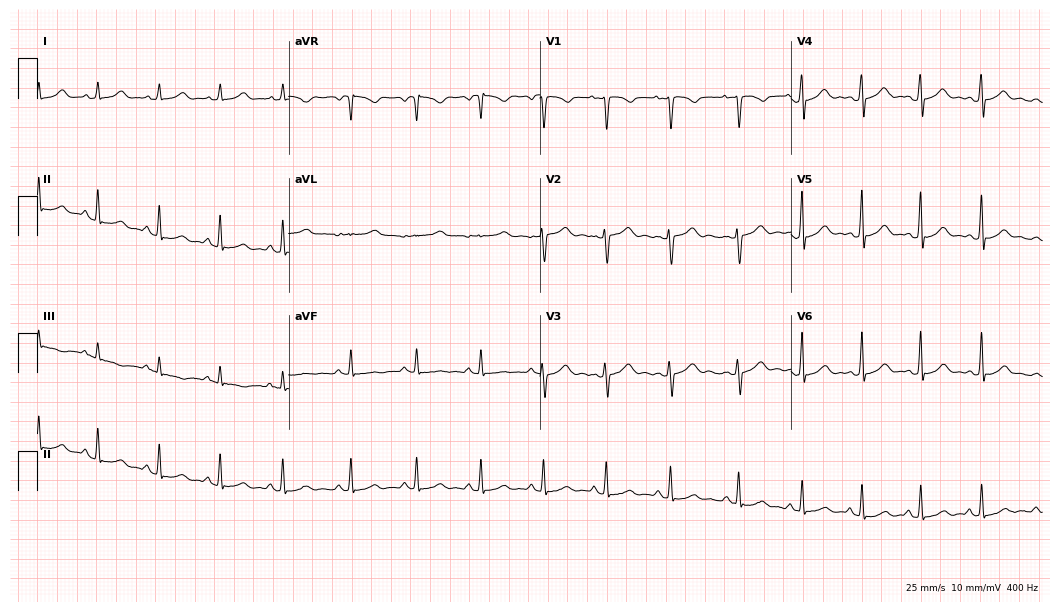
Electrocardiogram (10.2-second recording at 400 Hz), a female, 22 years old. Of the six screened findings (first-degree AV block, right bundle branch block, left bundle branch block, sinus bradycardia, atrial fibrillation, sinus tachycardia), none is recorded. Other findings, if any, are not listed.